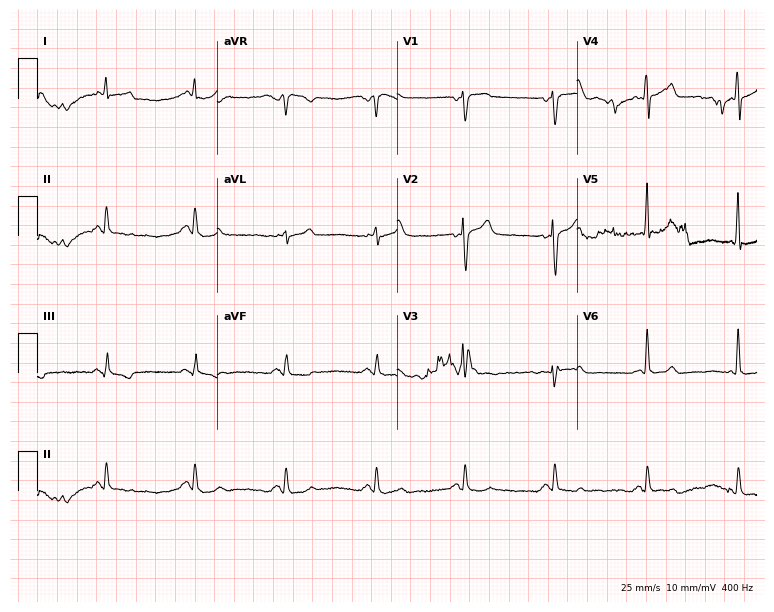
Electrocardiogram (7.3-second recording at 400 Hz), a 55-year-old female. Of the six screened findings (first-degree AV block, right bundle branch block (RBBB), left bundle branch block (LBBB), sinus bradycardia, atrial fibrillation (AF), sinus tachycardia), none is recorded. Findings outside these six are not listed.